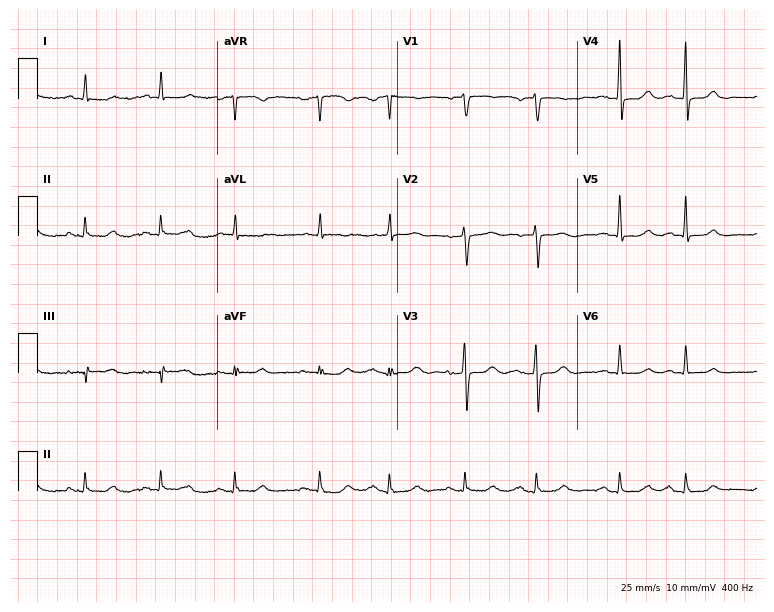
Resting 12-lead electrocardiogram. Patient: a woman, 76 years old. None of these six findings is recorded: first-degree AV block, right bundle branch block (RBBB), left bundle branch block (LBBB), sinus bradycardia, atrial fibrillation (AF), sinus tachycardia. Only these six findings were labelled.